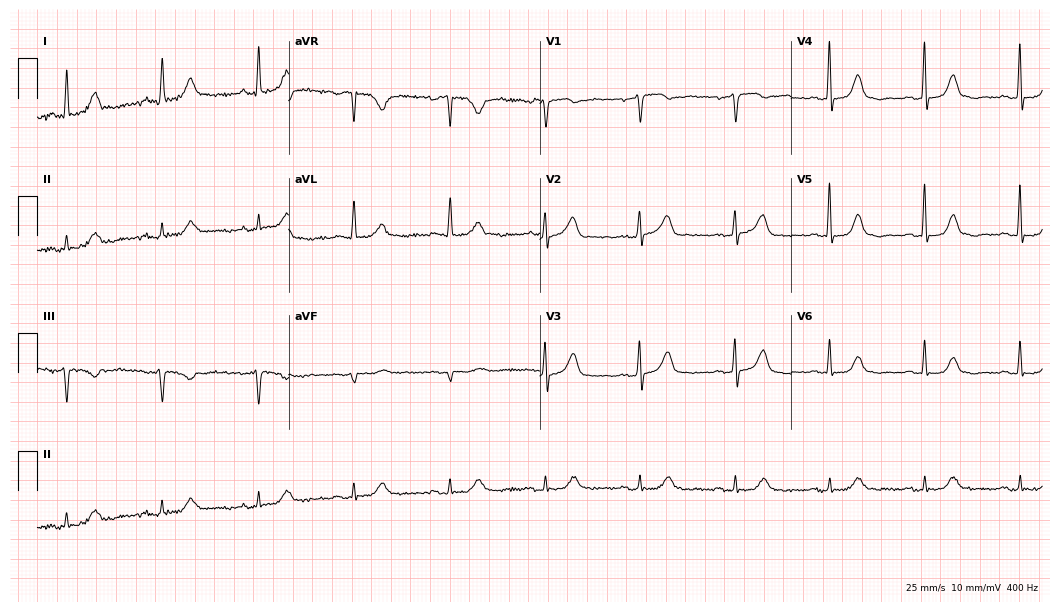
Standard 12-lead ECG recorded from an 82-year-old female (10.2-second recording at 400 Hz). None of these six findings is recorded: first-degree AV block, right bundle branch block, left bundle branch block, sinus bradycardia, atrial fibrillation, sinus tachycardia.